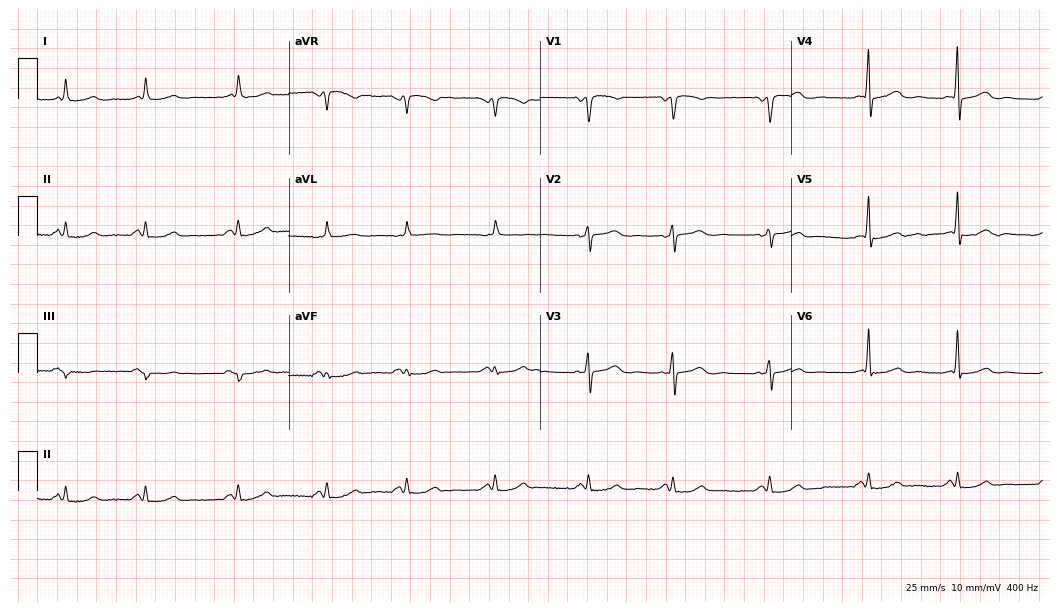
Resting 12-lead electrocardiogram. Patient: a woman, 70 years old. None of these six findings is recorded: first-degree AV block, right bundle branch block, left bundle branch block, sinus bradycardia, atrial fibrillation, sinus tachycardia.